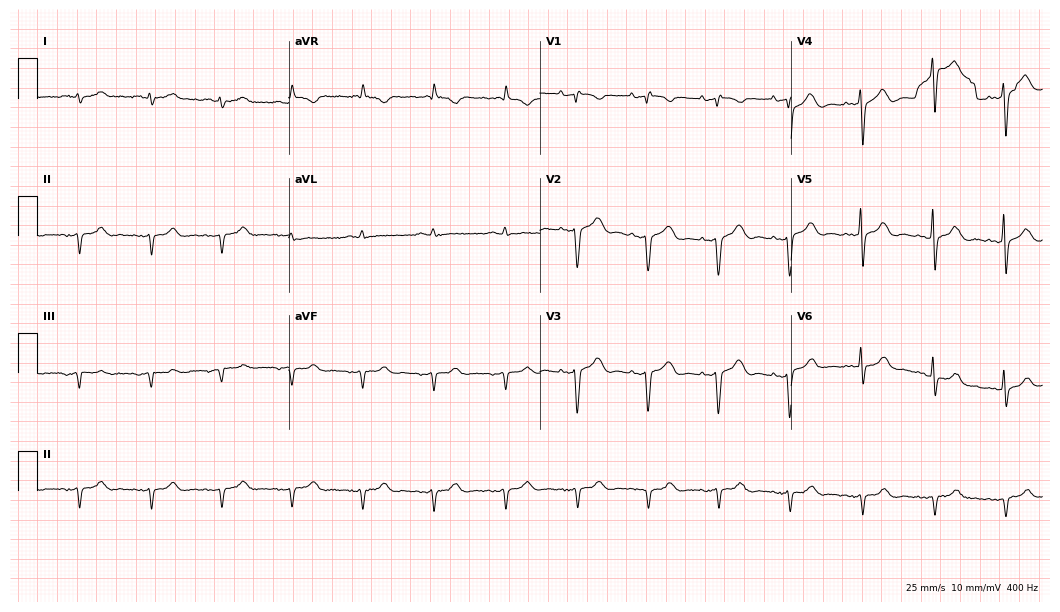
12-lead ECG (10.2-second recording at 400 Hz) from a female patient, 69 years old. Screened for six findings — first-degree AV block, right bundle branch block, left bundle branch block, sinus bradycardia, atrial fibrillation, sinus tachycardia — none is recorded.